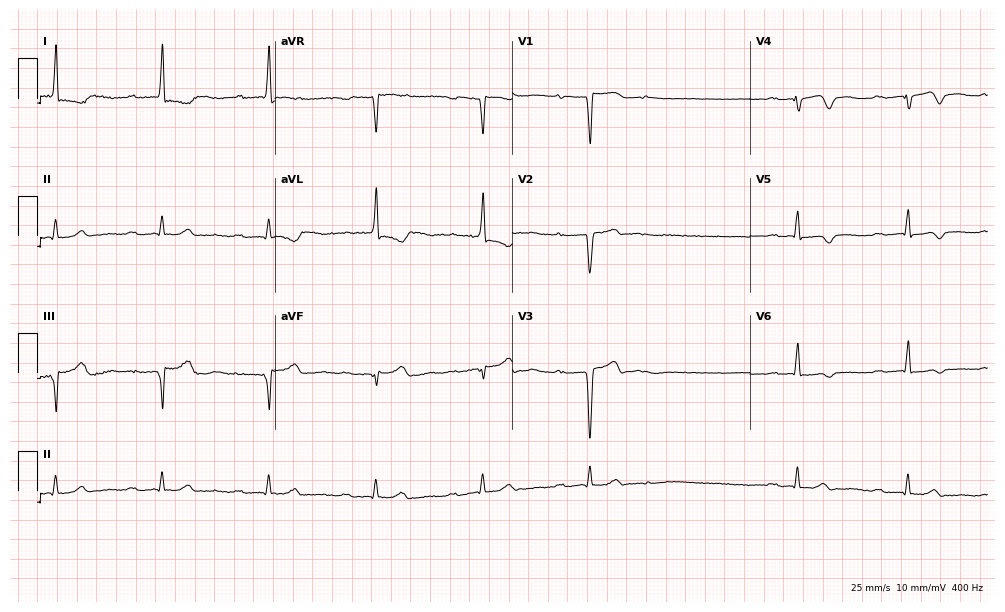
Electrocardiogram (9.7-second recording at 400 Hz), a female patient, 81 years old. Interpretation includes first-degree AV block.